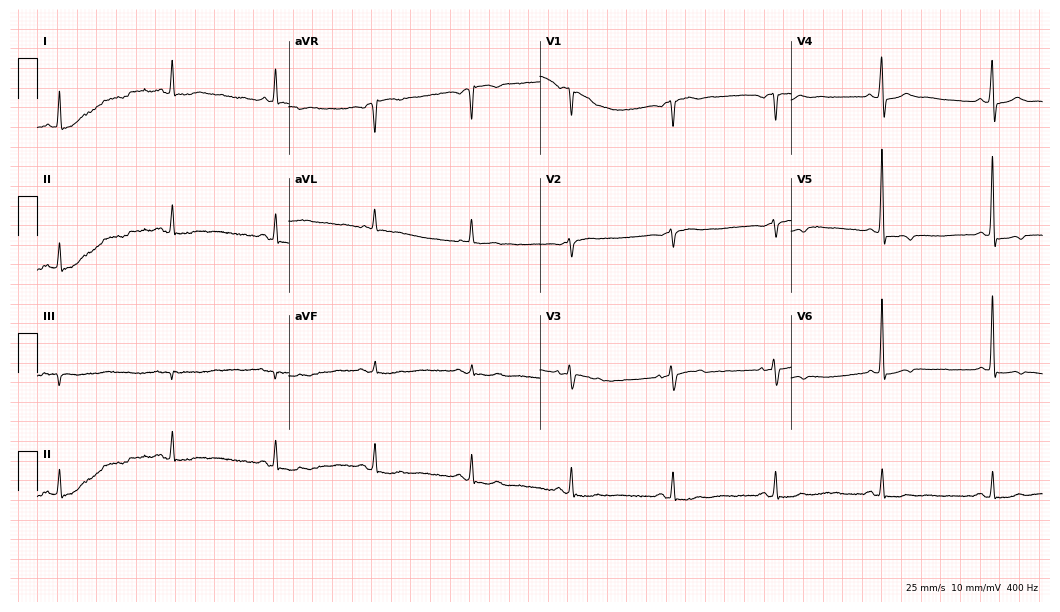
Resting 12-lead electrocardiogram (10.2-second recording at 400 Hz). Patient: a male, 82 years old. None of these six findings is recorded: first-degree AV block, right bundle branch block (RBBB), left bundle branch block (LBBB), sinus bradycardia, atrial fibrillation (AF), sinus tachycardia. Only these six findings were labelled.